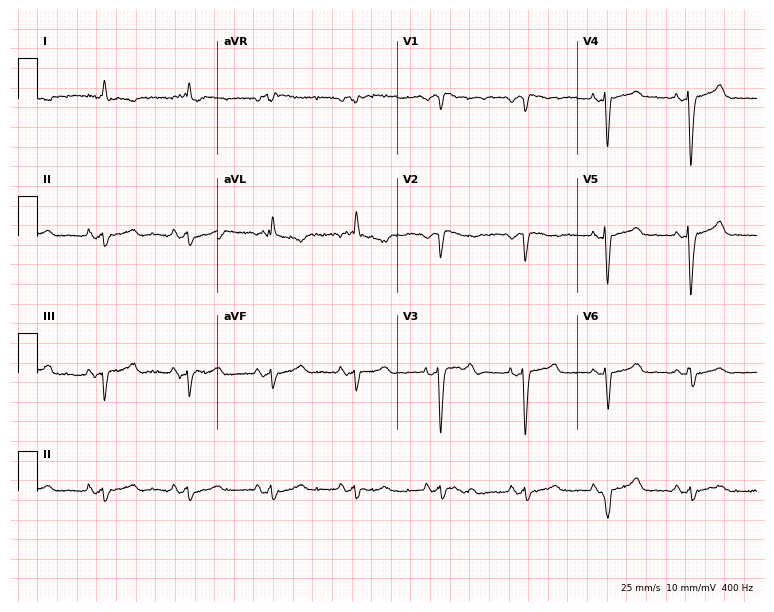
12-lead ECG from a woman, 83 years old. No first-degree AV block, right bundle branch block (RBBB), left bundle branch block (LBBB), sinus bradycardia, atrial fibrillation (AF) or sinus tachycardia recorded for this tracing. Only these six findings were labelled.